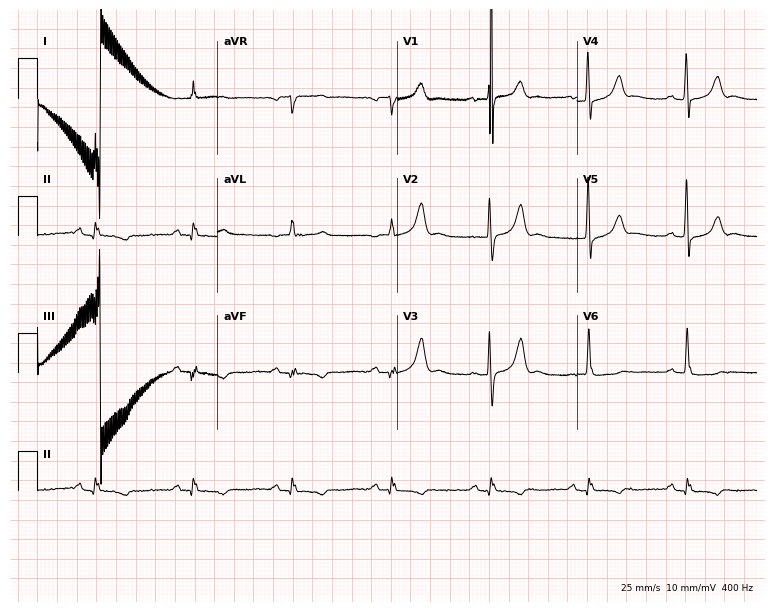
12-lead ECG from a male, 78 years old. No first-degree AV block, right bundle branch block, left bundle branch block, sinus bradycardia, atrial fibrillation or sinus tachycardia recorded for this tracing.